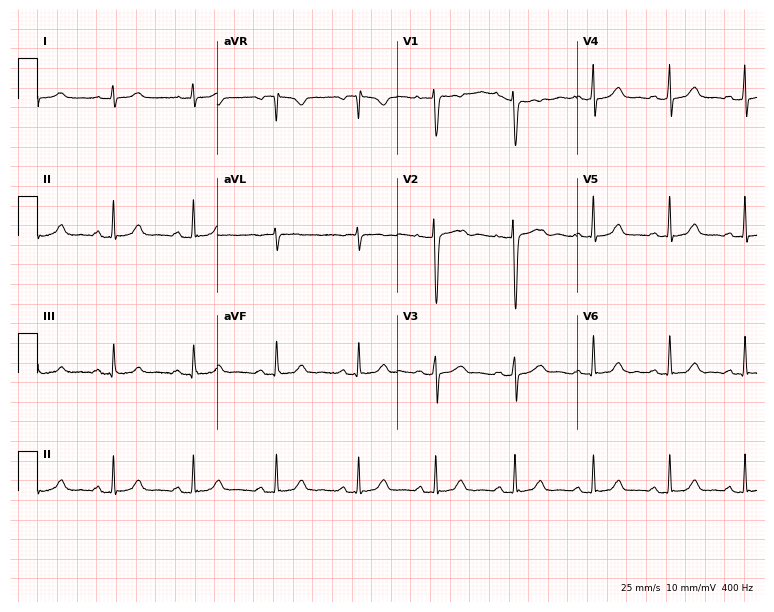
Resting 12-lead electrocardiogram (7.3-second recording at 400 Hz). Patient: a 34-year-old female. Read as a normal ECG.